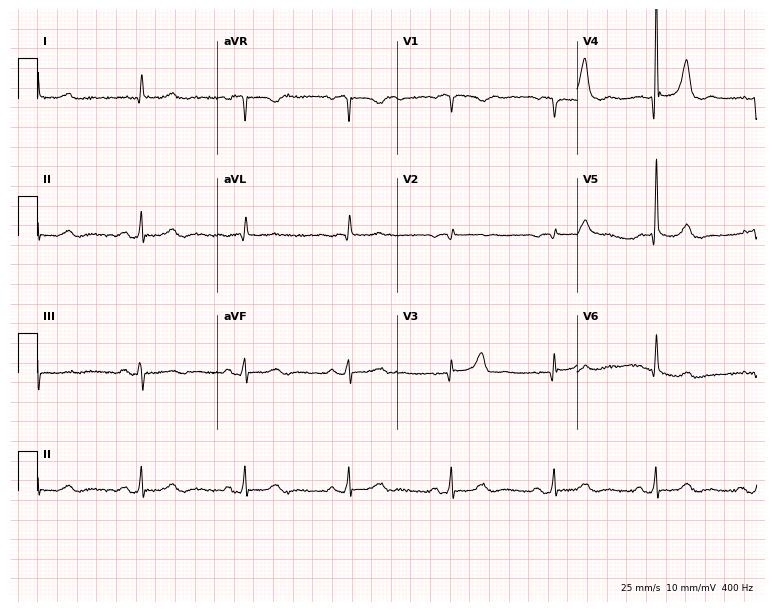
Resting 12-lead electrocardiogram (7.3-second recording at 400 Hz). Patient: an 83-year-old male. None of these six findings is recorded: first-degree AV block, right bundle branch block, left bundle branch block, sinus bradycardia, atrial fibrillation, sinus tachycardia. Other findings, if any, are not listed.